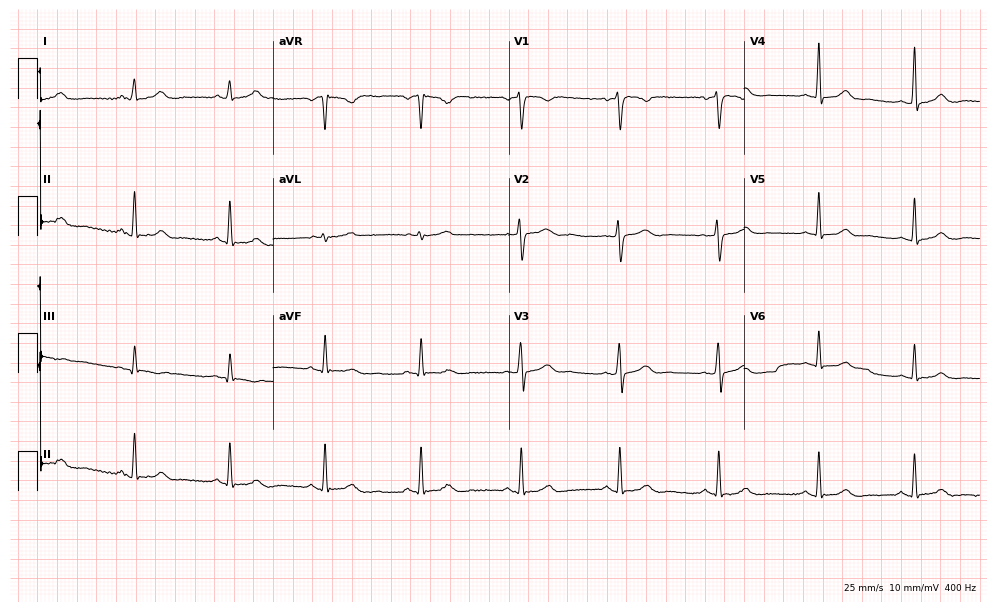
Electrocardiogram (9.6-second recording at 400 Hz), a 29-year-old female patient. Overall reading on record: normal ECG.